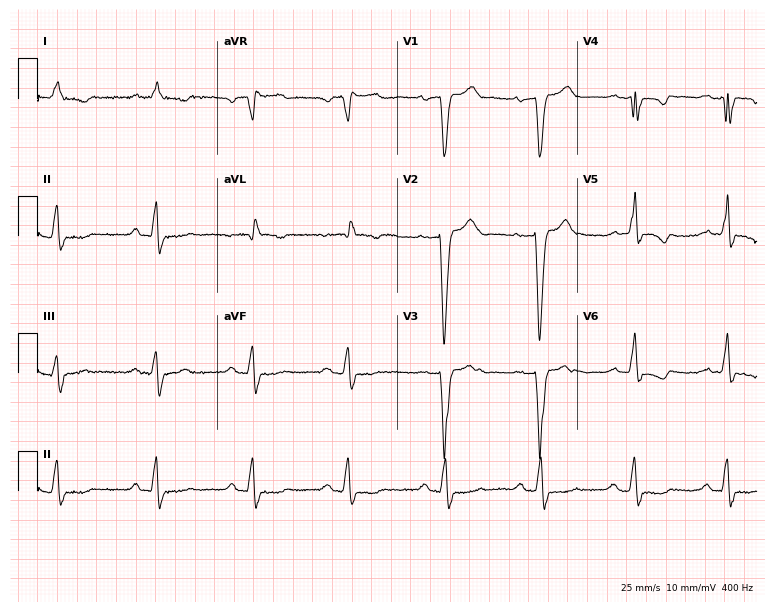
Standard 12-lead ECG recorded from an 83-year-old male. The tracing shows first-degree AV block, left bundle branch block.